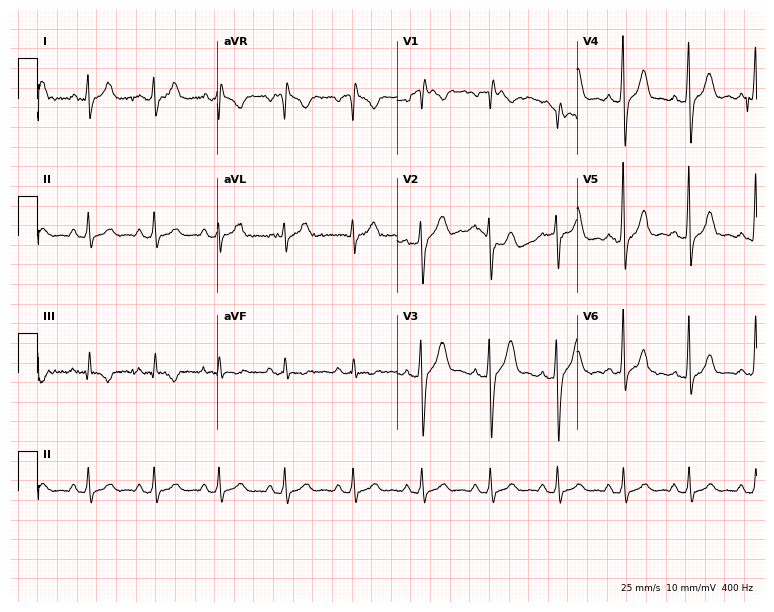
12-lead ECG (7.3-second recording at 400 Hz) from a male patient, 37 years old. Labelled as a normal ECG.